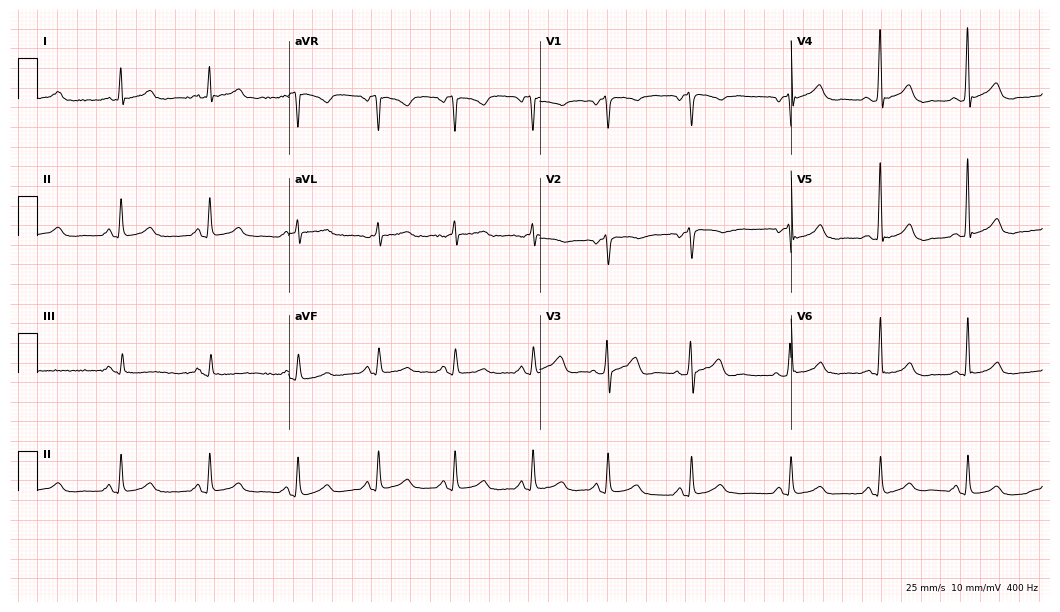
ECG — a 61-year-old woman. Labelled as a normal ECG.